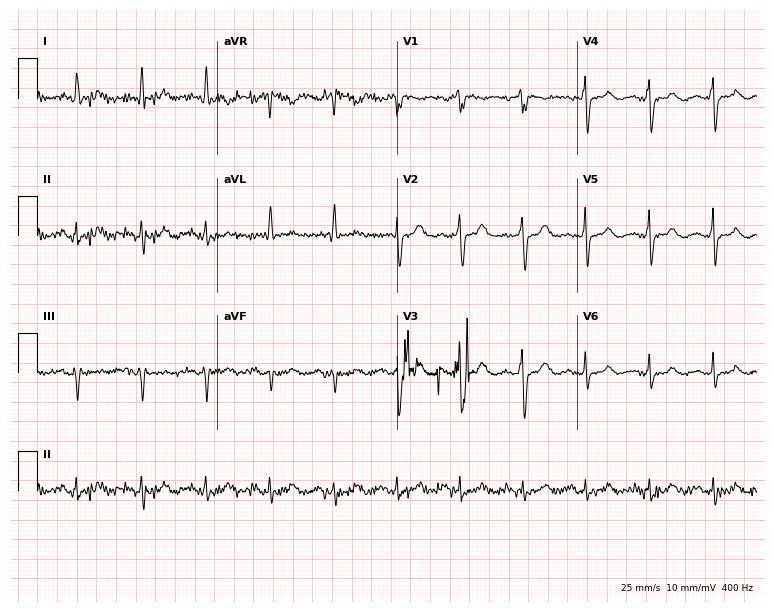
12-lead ECG from a 76-year-old male (7.3-second recording at 400 Hz). Recorded interpretation: within normal limits.